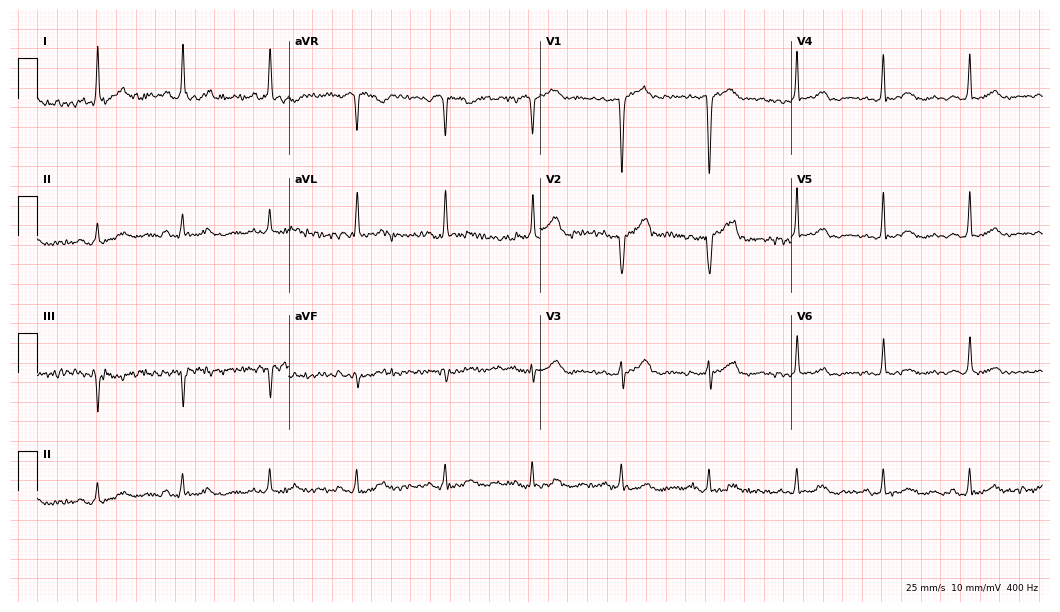
Standard 12-lead ECG recorded from a female, 77 years old (10.2-second recording at 400 Hz). None of these six findings is recorded: first-degree AV block, right bundle branch block (RBBB), left bundle branch block (LBBB), sinus bradycardia, atrial fibrillation (AF), sinus tachycardia. Only these six findings were labelled.